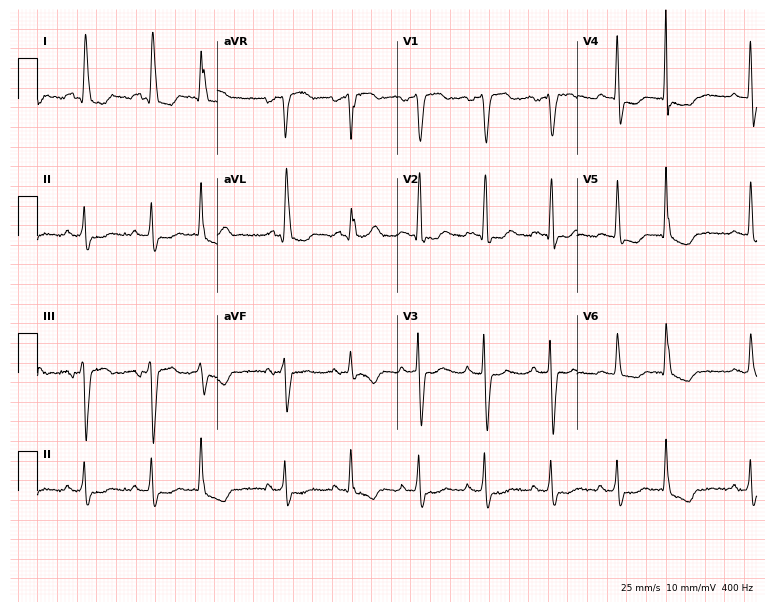
Electrocardiogram (7.3-second recording at 400 Hz), a 75-year-old woman. Of the six screened findings (first-degree AV block, right bundle branch block (RBBB), left bundle branch block (LBBB), sinus bradycardia, atrial fibrillation (AF), sinus tachycardia), none is recorded. Only these six findings were labelled.